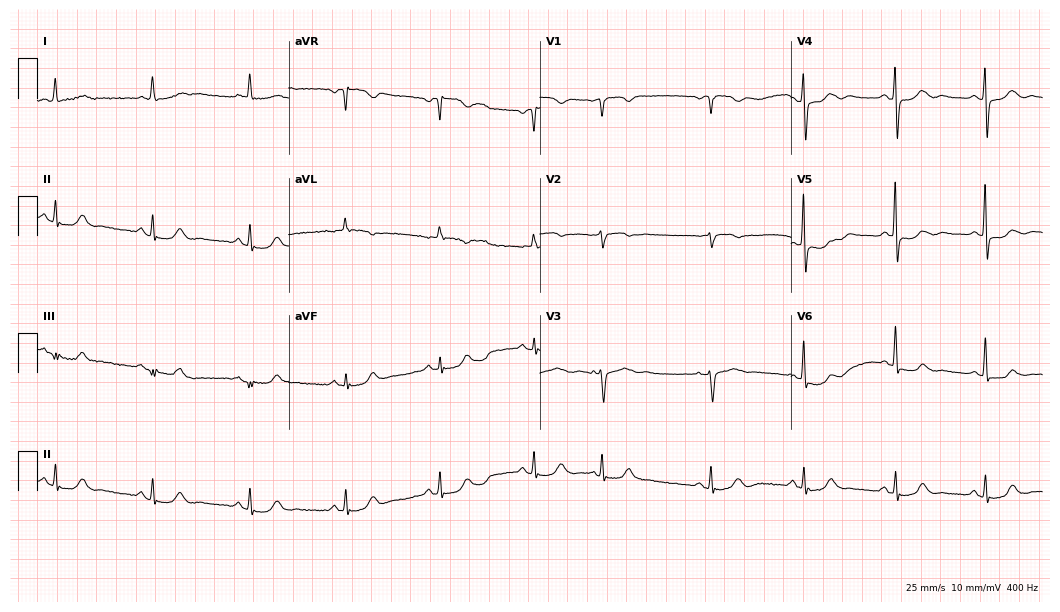
12-lead ECG (10.2-second recording at 400 Hz) from a female, 69 years old. Labelled as a normal ECG.